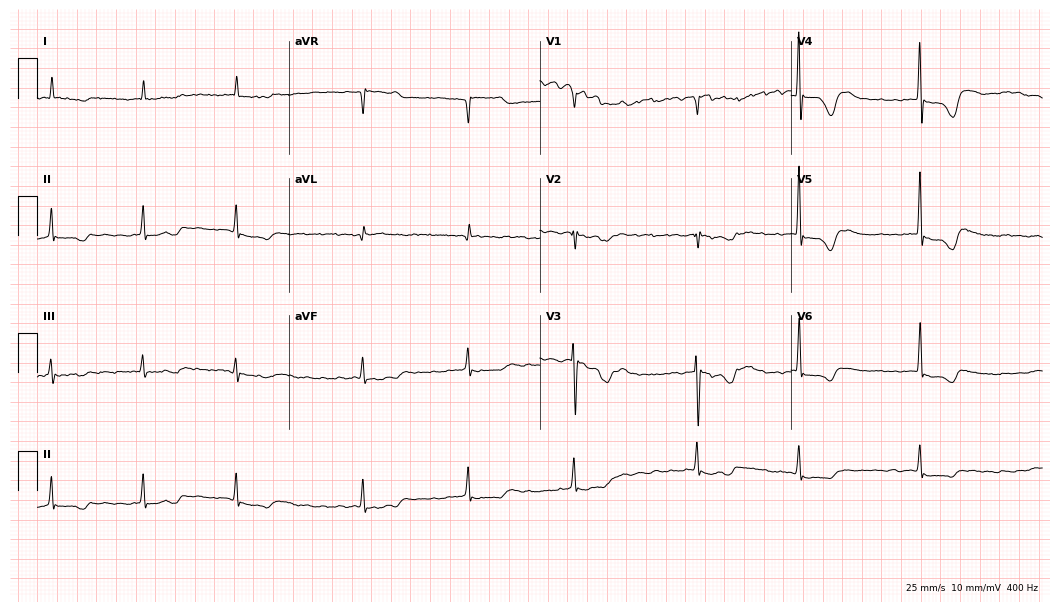
ECG — a female, 84 years old. Findings include atrial fibrillation (AF).